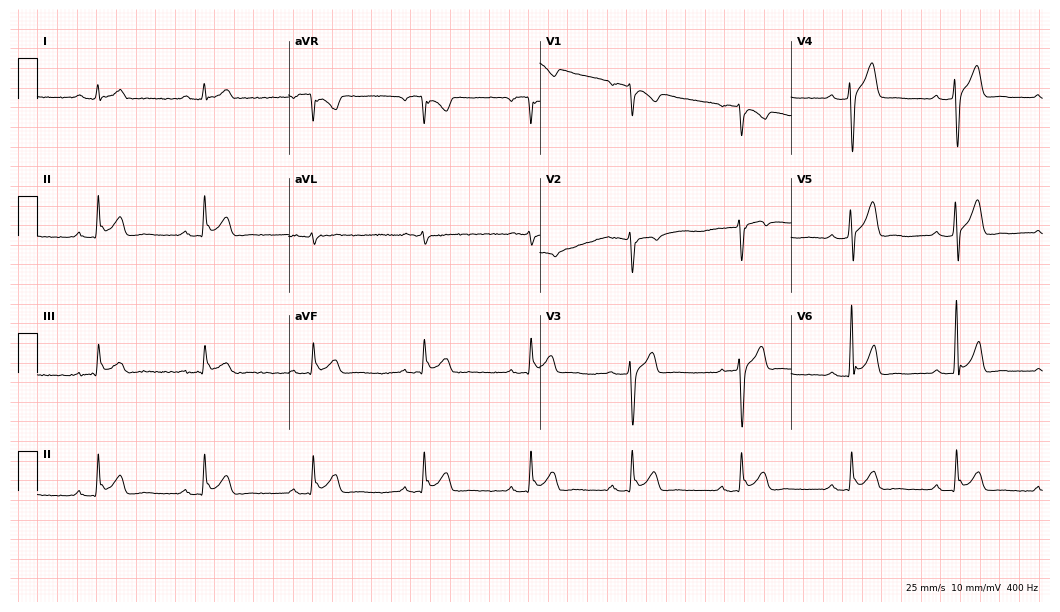
Resting 12-lead electrocardiogram (10.2-second recording at 400 Hz). Patient: a 36-year-old male. None of these six findings is recorded: first-degree AV block, right bundle branch block, left bundle branch block, sinus bradycardia, atrial fibrillation, sinus tachycardia. Findings outside these six are not listed.